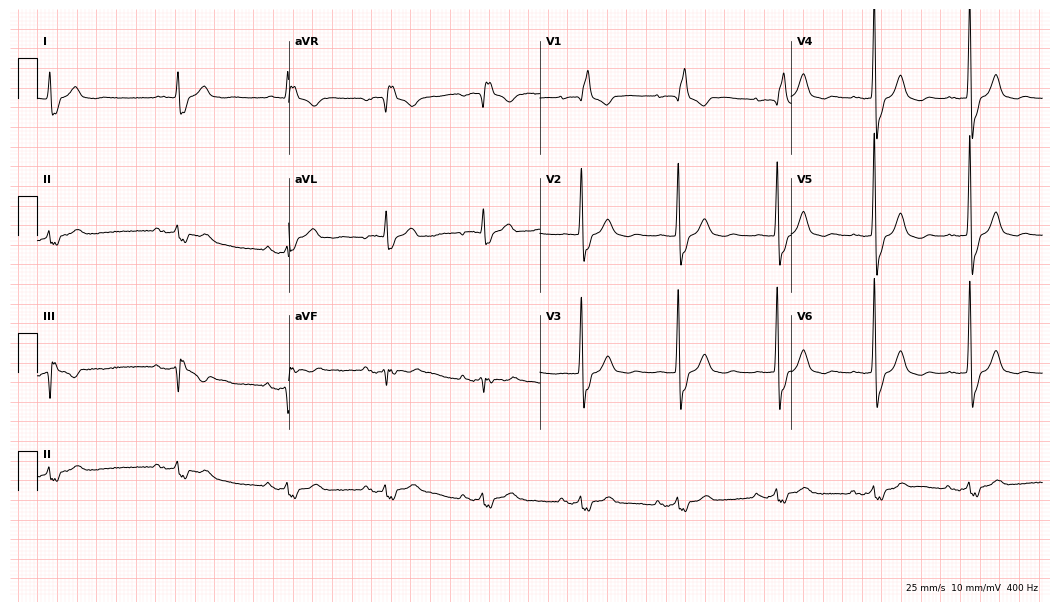
Electrocardiogram, an 81-year-old female patient. Interpretation includes first-degree AV block, right bundle branch block.